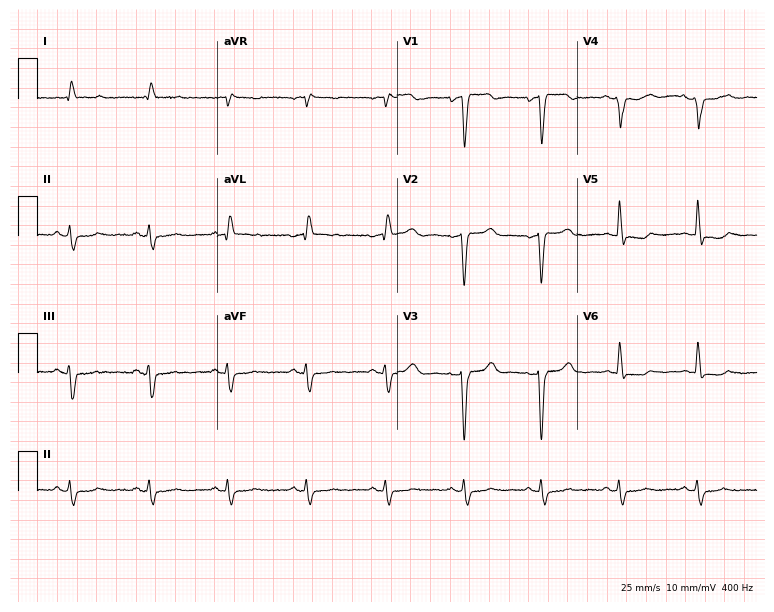
Resting 12-lead electrocardiogram. Patient: a 74-year-old female. None of these six findings is recorded: first-degree AV block, right bundle branch block (RBBB), left bundle branch block (LBBB), sinus bradycardia, atrial fibrillation (AF), sinus tachycardia. Only these six findings were labelled.